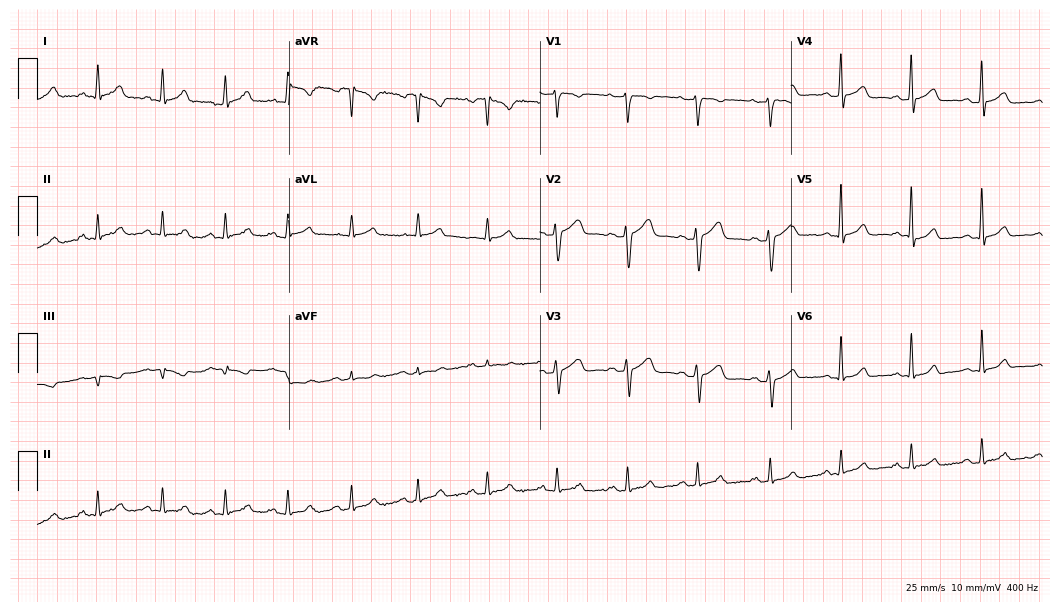
Standard 12-lead ECG recorded from a 52-year-old male (10.2-second recording at 400 Hz). Read as a normal ECG.